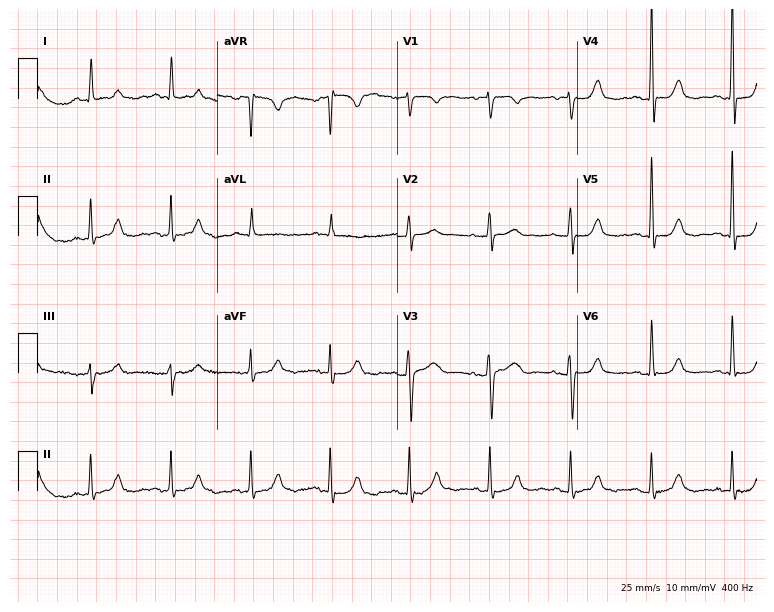
Standard 12-lead ECG recorded from a female, 81 years old. Read as a normal ECG.